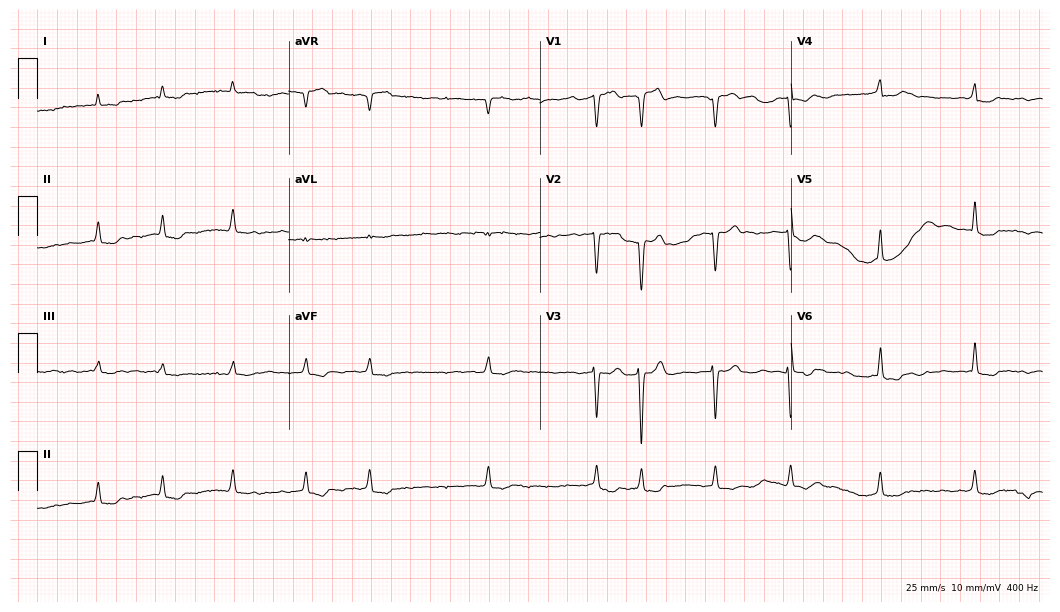
ECG — a female, 81 years old. Findings include atrial fibrillation.